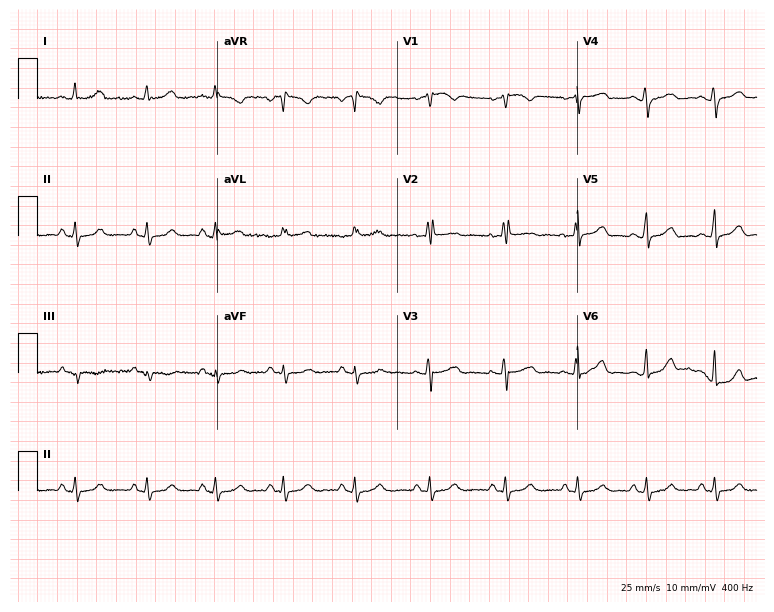
12-lead ECG from a 43-year-old female patient. No first-degree AV block, right bundle branch block, left bundle branch block, sinus bradycardia, atrial fibrillation or sinus tachycardia recorded for this tracing.